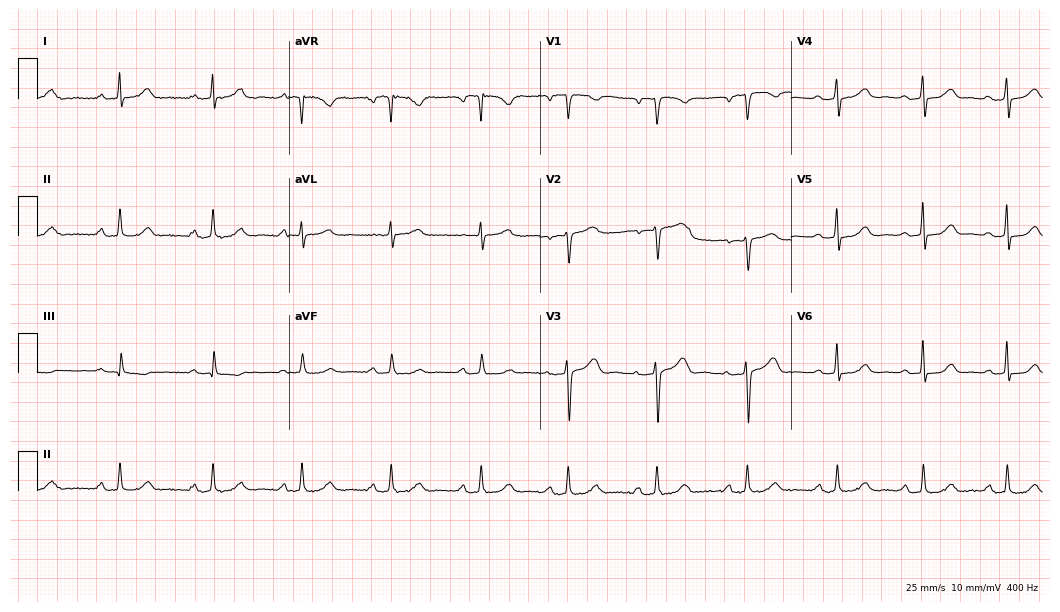
12-lead ECG (10.2-second recording at 400 Hz) from a 49-year-old female patient. Labelled as a normal ECG.